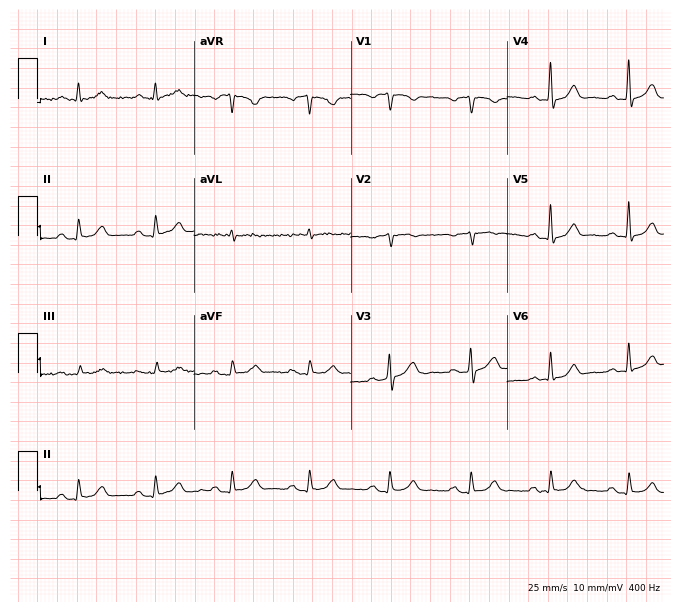
12-lead ECG (6.4-second recording at 400 Hz) from a 63-year-old female patient. Labelled as a normal ECG.